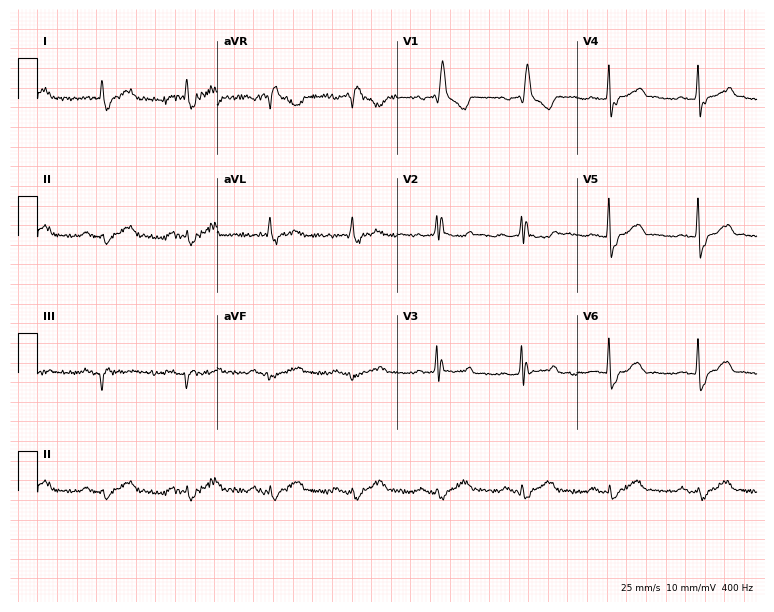
ECG — a 71-year-old male. Findings include right bundle branch block.